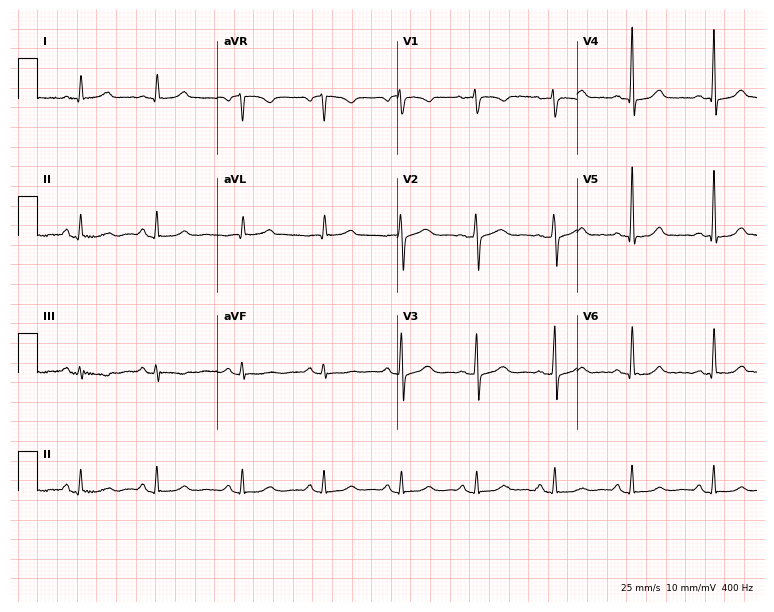
12-lead ECG (7.3-second recording at 400 Hz) from a 59-year-old female patient. Screened for six findings — first-degree AV block, right bundle branch block, left bundle branch block, sinus bradycardia, atrial fibrillation, sinus tachycardia — none is recorded. Only these six findings were labelled.